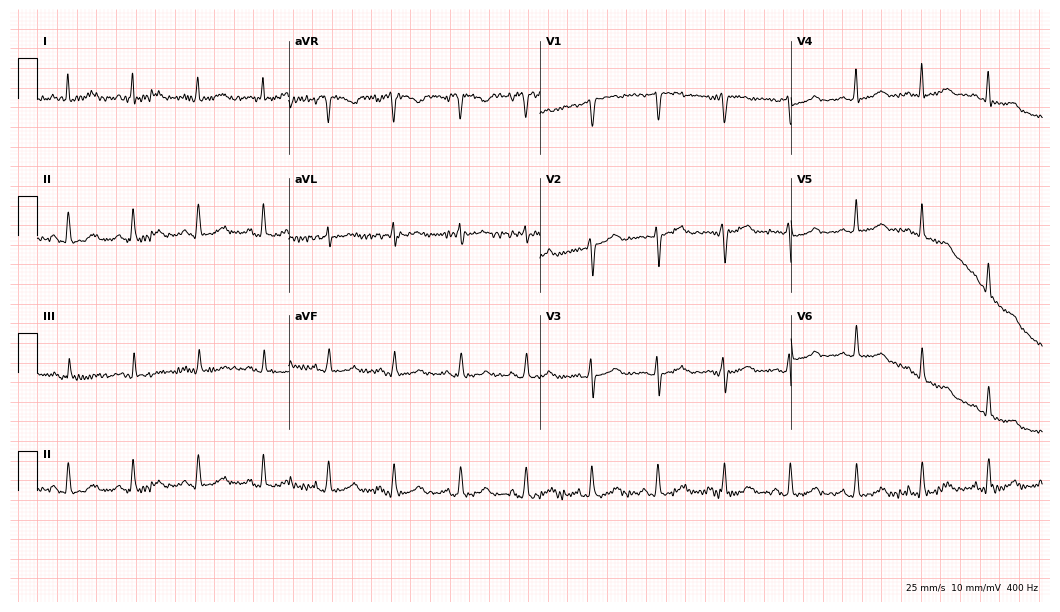
12-lead ECG from a female, 58 years old. Labelled as a normal ECG.